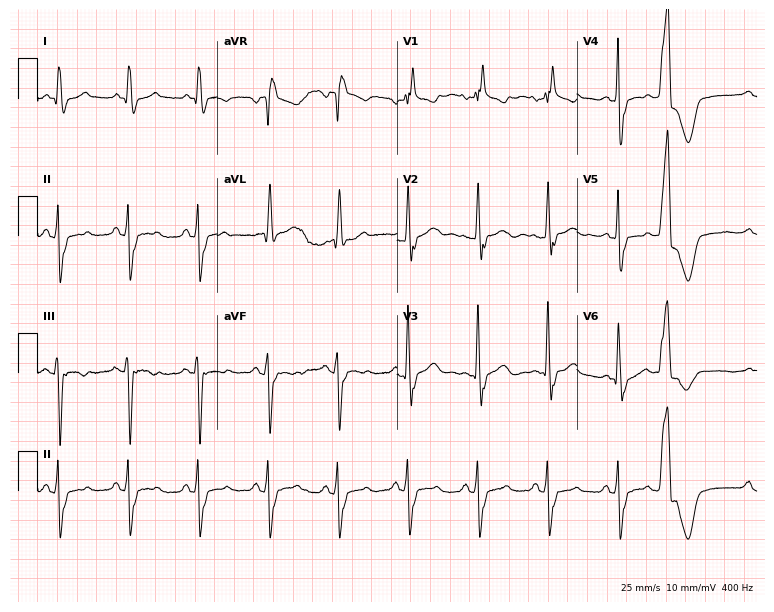
12-lead ECG from a female patient, 79 years old (7.3-second recording at 400 Hz). No first-degree AV block, right bundle branch block, left bundle branch block, sinus bradycardia, atrial fibrillation or sinus tachycardia recorded for this tracing.